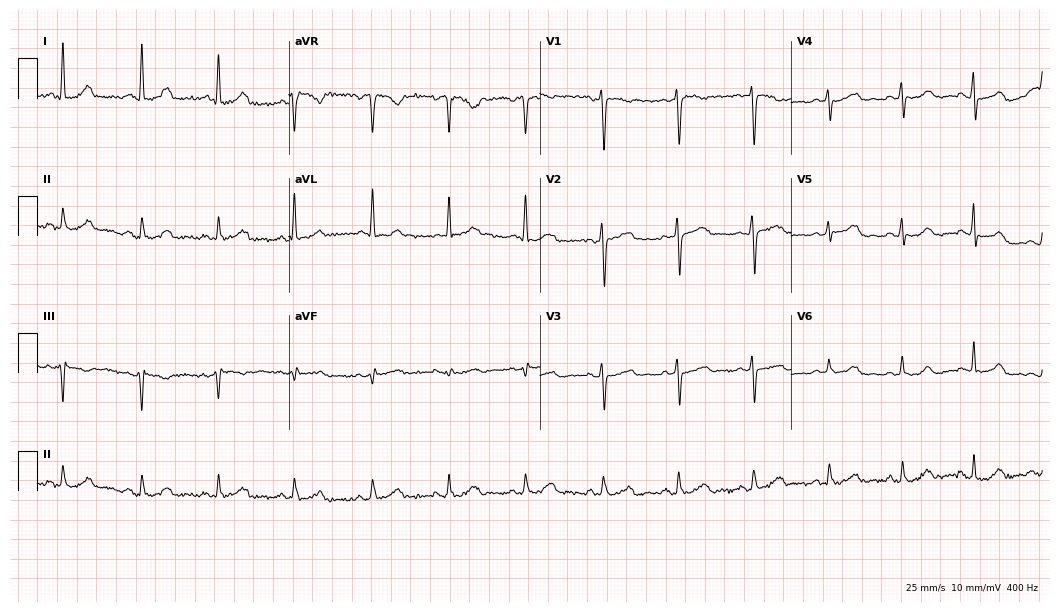
Electrocardiogram (10.2-second recording at 400 Hz), a 49-year-old female patient. Overall reading on record: normal ECG.